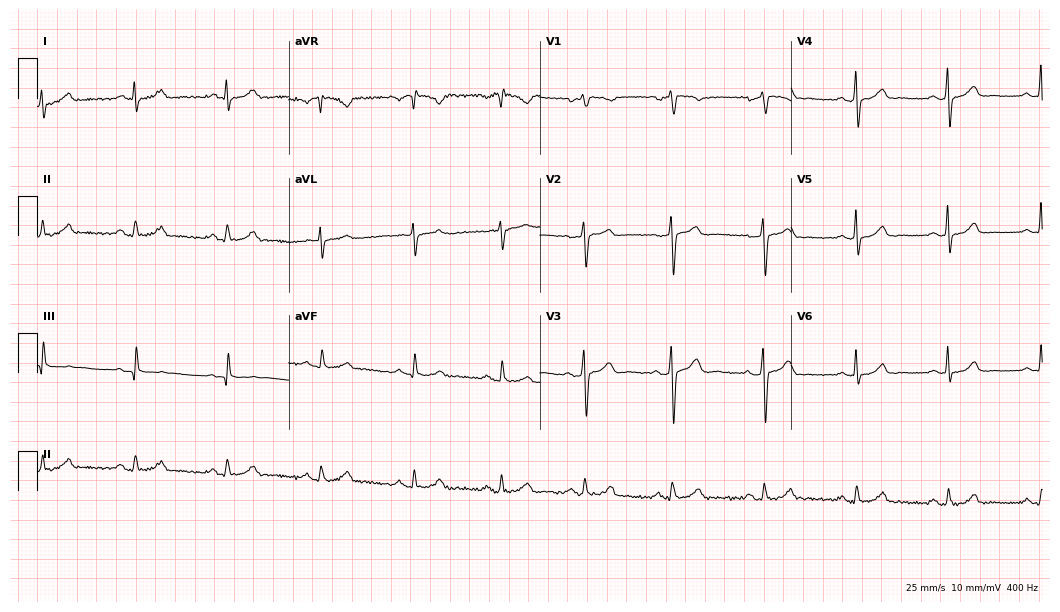
Electrocardiogram, a female, 49 years old. Of the six screened findings (first-degree AV block, right bundle branch block (RBBB), left bundle branch block (LBBB), sinus bradycardia, atrial fibrillation (AF), sinus tachycardia), none is recorded.